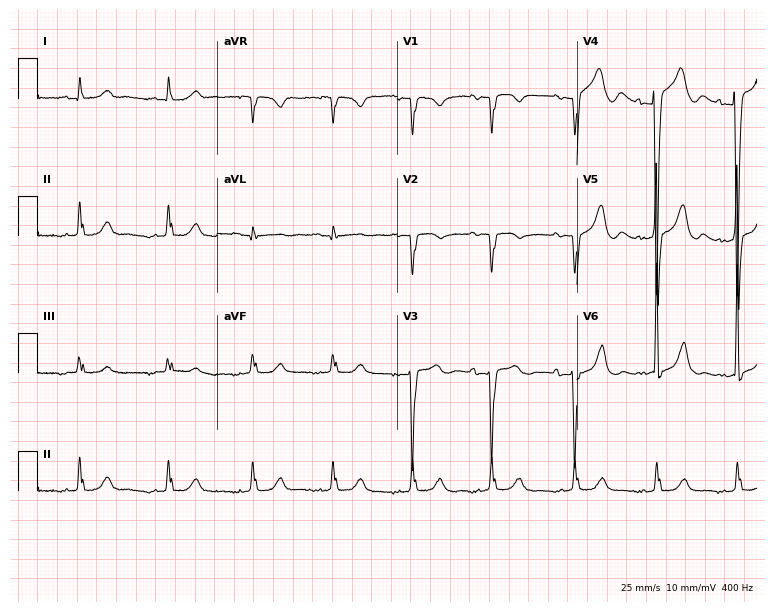
12-lead ECG (7.3-second recording at 400 Hz) from a male patient, 70 years old. Screened for six findings — first-degree AV block, right bundle branch block, left bundle branch block, sinus bradycardia, atrial fibrillation, sinus tachycardia — none is recorded. Findings outside these six are not listed.